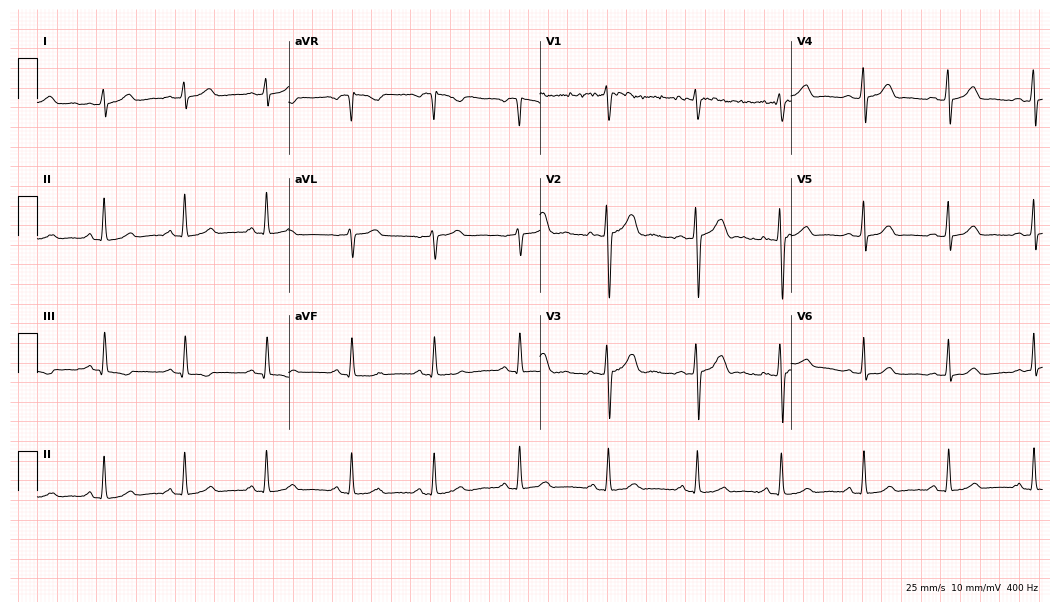
12-lead ECG from a female patient, 27 years old. No first-degree AV block, right bundle branch block, left bundle branch block, sinus bradycardia, atrial fibrillation or sinus tachycardia recorded for this tracing.